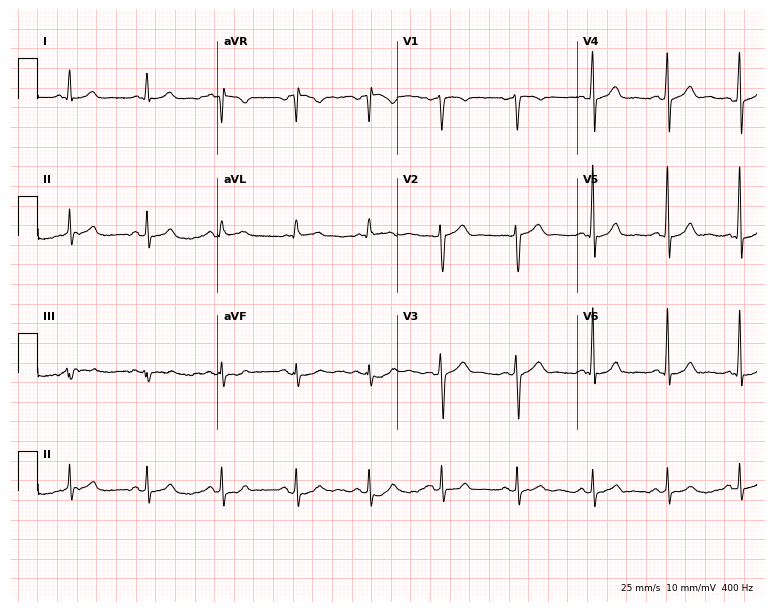
Standard 12-lead ECG recorded from a 45-year-old man. Read as a normal ECG.